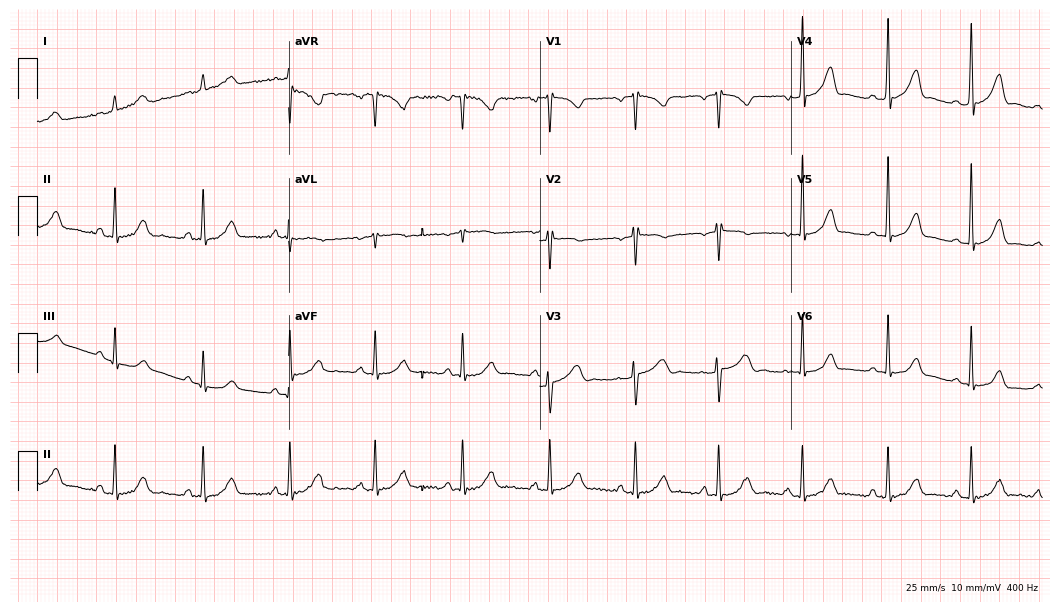
ECG (10.2-second recording at 400 Hz) — a 38-year-old female. Screened for six findings — first-degree AV block, right bundle branch block, left bundle branch block, sinus bradycardia, atrial fibrillation, sinus tachycardia — none is recorded.